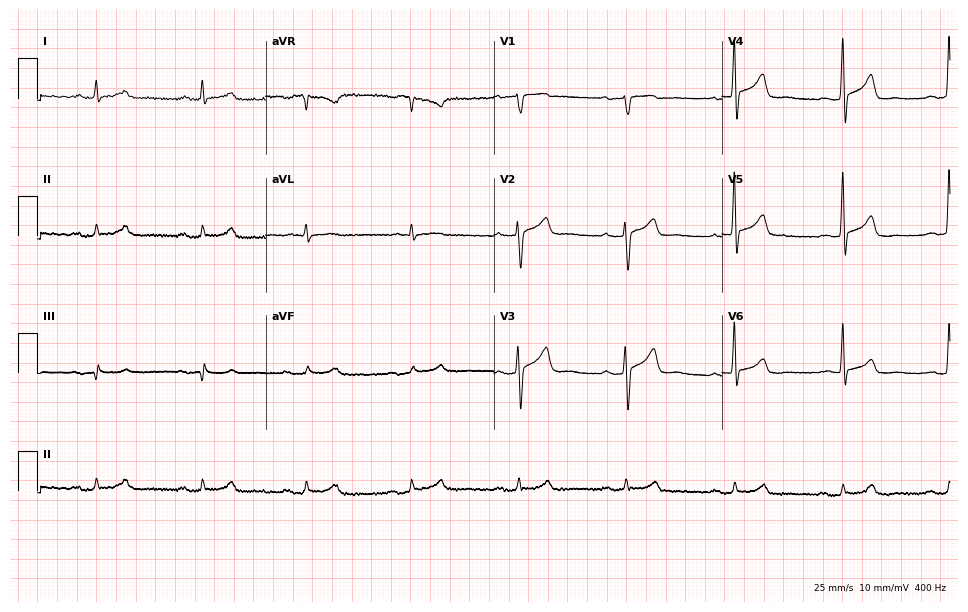
12-lead ECG from a 73-year-old male patient (9.3-second recording at 400 Hz). Recorded interpretation: within normal limits.